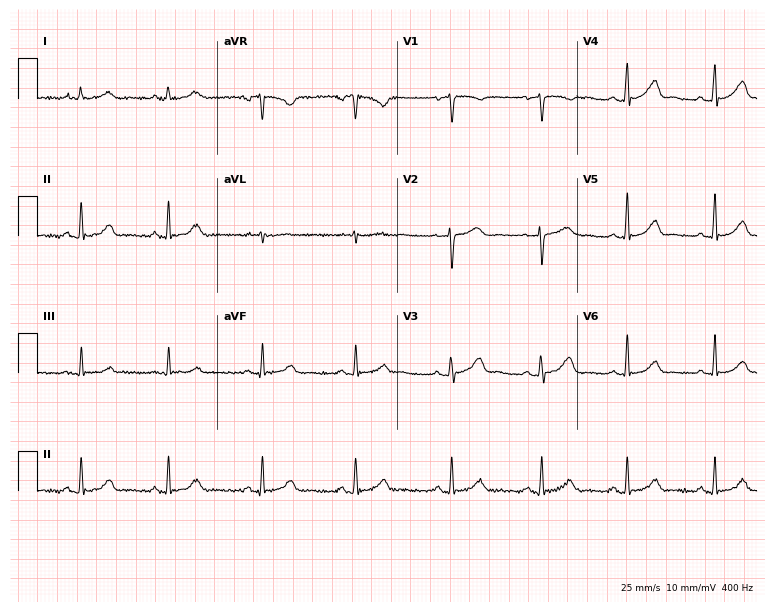
ECG — a 23-year-old woman. Labelled as a normal ECG.